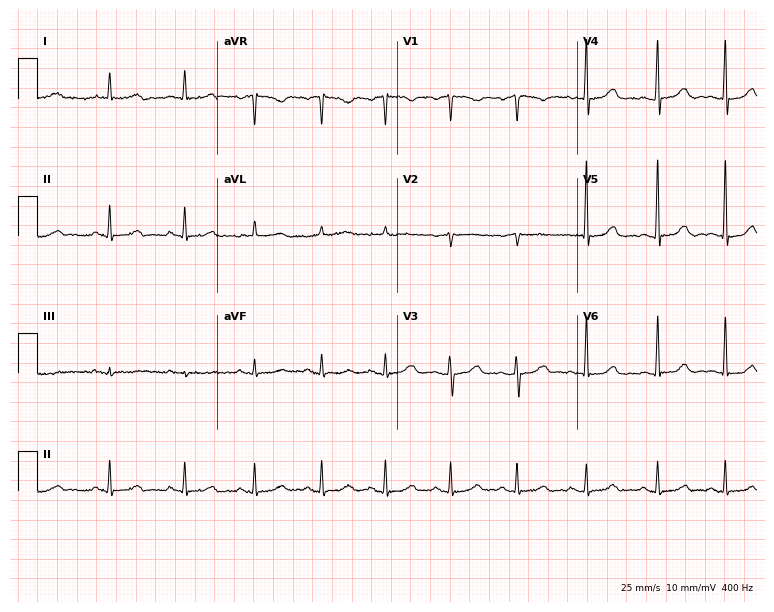
12-lead ECG (7.3-second recording at 400 Hz) from a 73-year-old female patient. Labelled as a normal ECG.